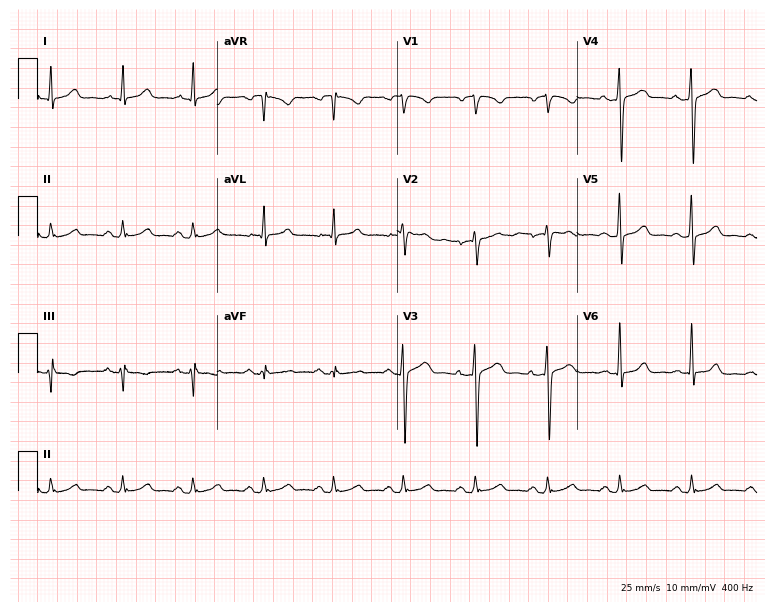
Resting 12-lead electrocardiogram (7.3-second recording at 400 Hz). Patient: a 50-year-old male. None of these six findings is recorded: first-degree AV block, right bundle branch block, left bundle branch block, sinus bradycardia, atrial fibrillation, sinus tachycardia.